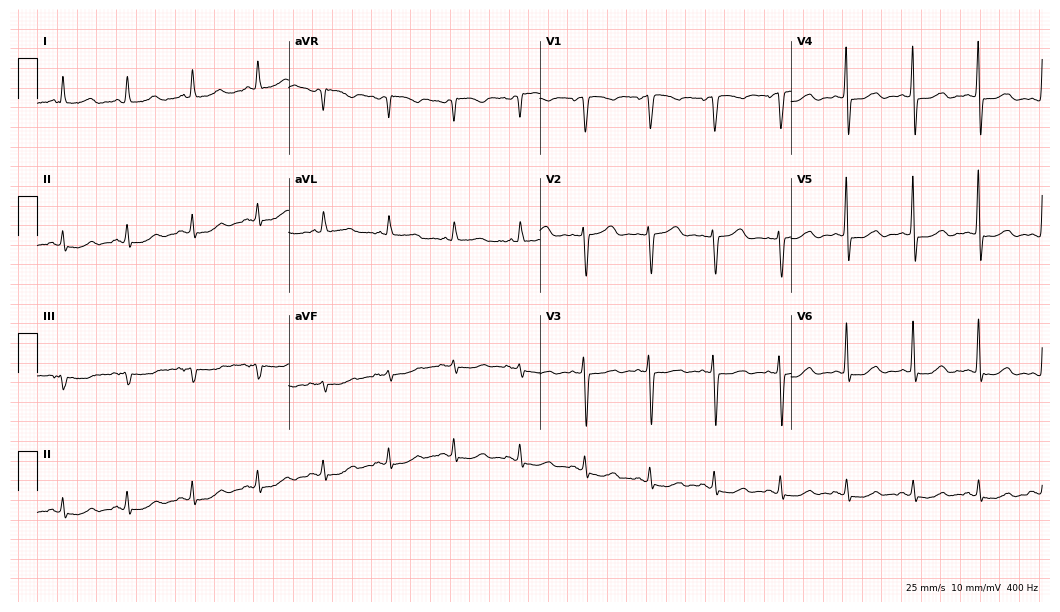
12-lead ECG (10.2-second recording at 400 Hz) from a female, 51 years old. Screened for six findings — first-degree AV block, right bundle branch block, left bundle branch block, sinus bradycardia, atrial fibrillation, sinus tachycardia — none is recorded.